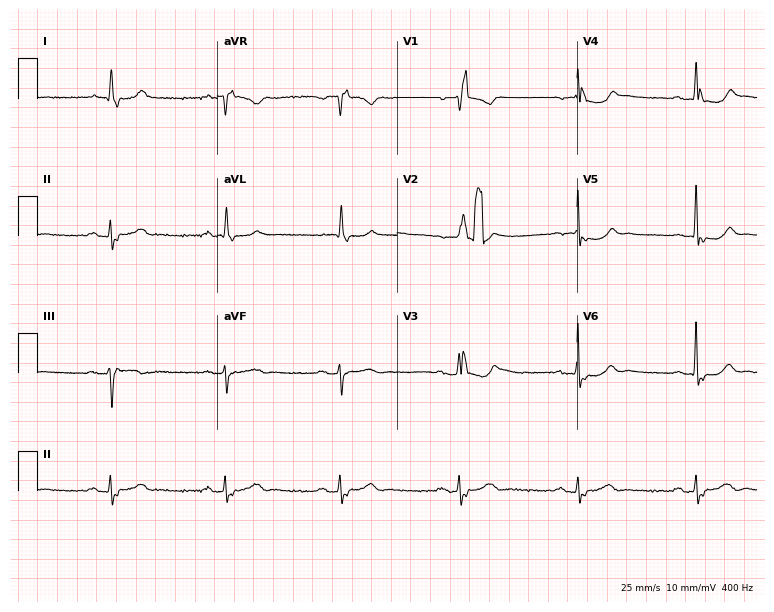
Electrocardiogram (7.3-second recording at 400 Hz), a 74-year-old woman. Of the six screened findings (first-degree AV block, right bundle branch block, left bundle branch block, sinus bradycardia, atrial fibrillation, sinus tachycardia), none is recorded.